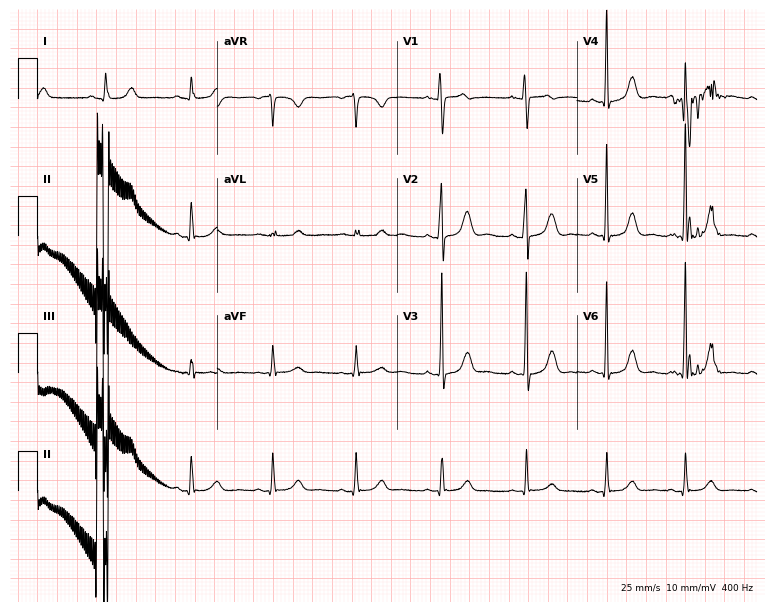
12-lead ECG (7.3-second recording at 400 Hz) from a 31-year-old woman. Screened for six findings — first-degree AV block, right bundle branch block, left bundle branch block, sinus bradycardia, atrial fibrillation, sinus tachycardia — none is recorded.